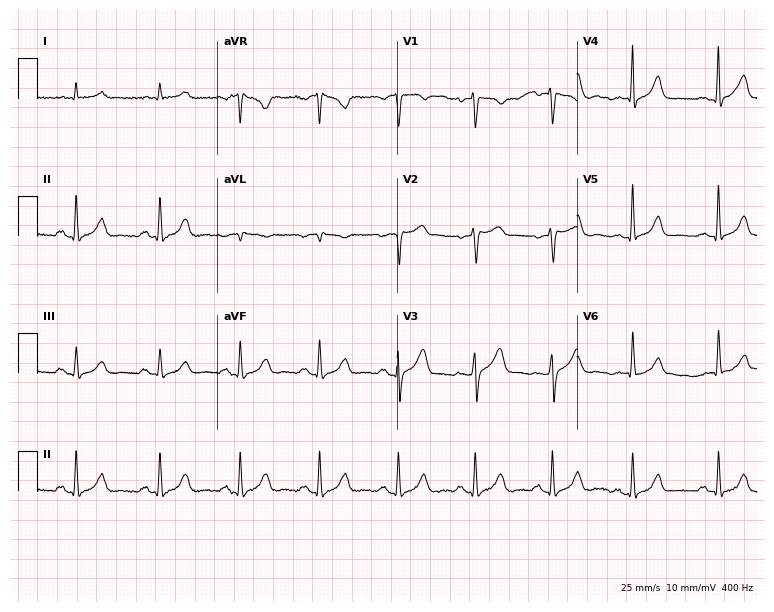
Standard 12-lead ECG recorded from a 54-year-old male patient. Read as a normal ECG.